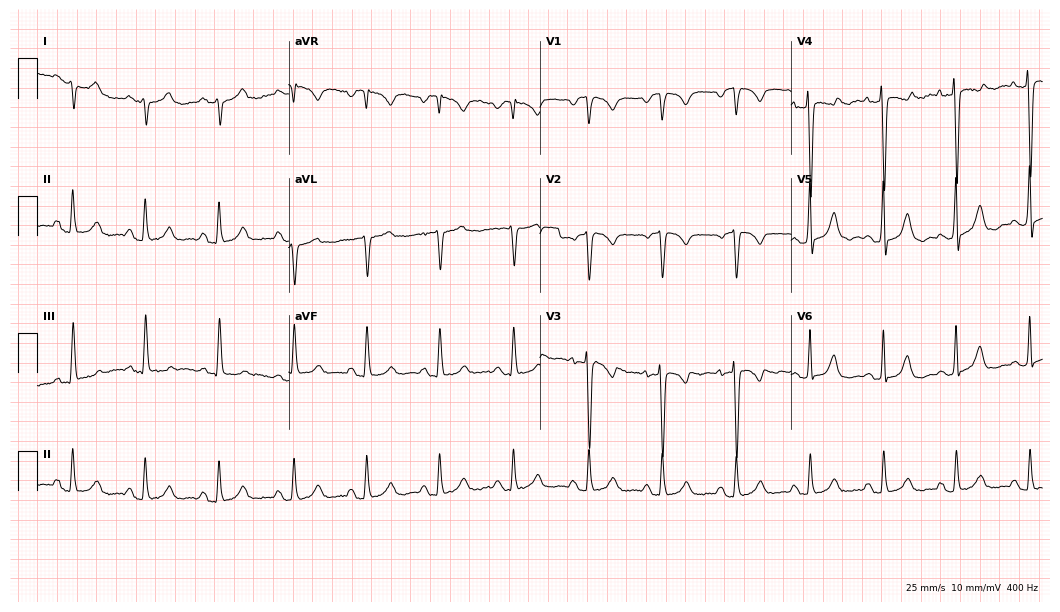
Resting 12-lead electrocardiogram (10.2-second recording at 400 Hz). Patient: a female, 59 years old. Read as a normal ECG.